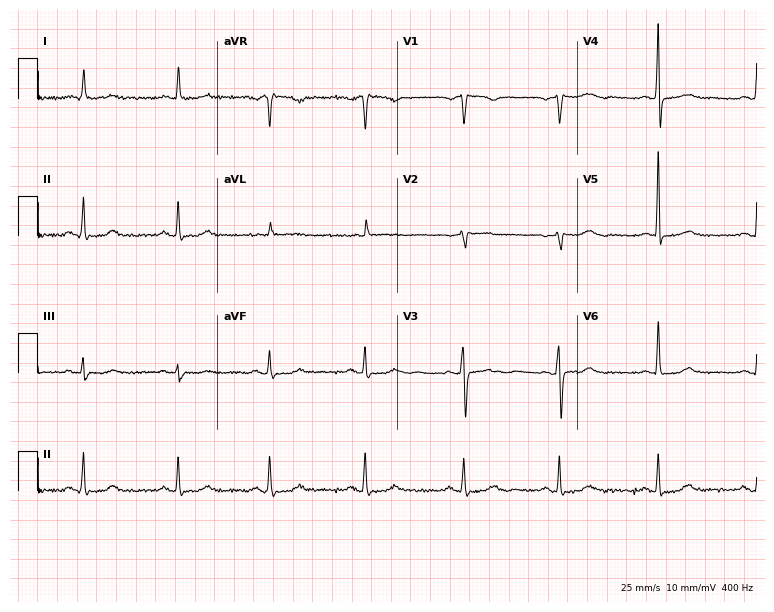
Electrocardiogram, a female, 70 years old. Of the six screened findings (first-degree AV block, right bundle branch block (RBBB), left bundle branch block (LBBB), sinus bradycardia, atrial fibrillation (AF), sinus tachycardia), none is recorded. Other findings, if any, are not listed.